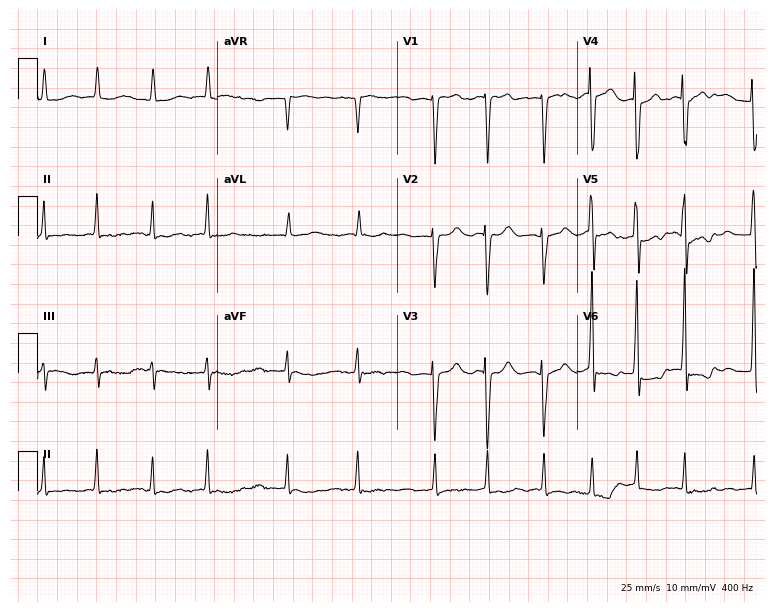
Standard 12-lead ECG recorded from an 80-year-old female patient (7.3-second recording at 400 Hz). The tracing shows atrial fibrillation.